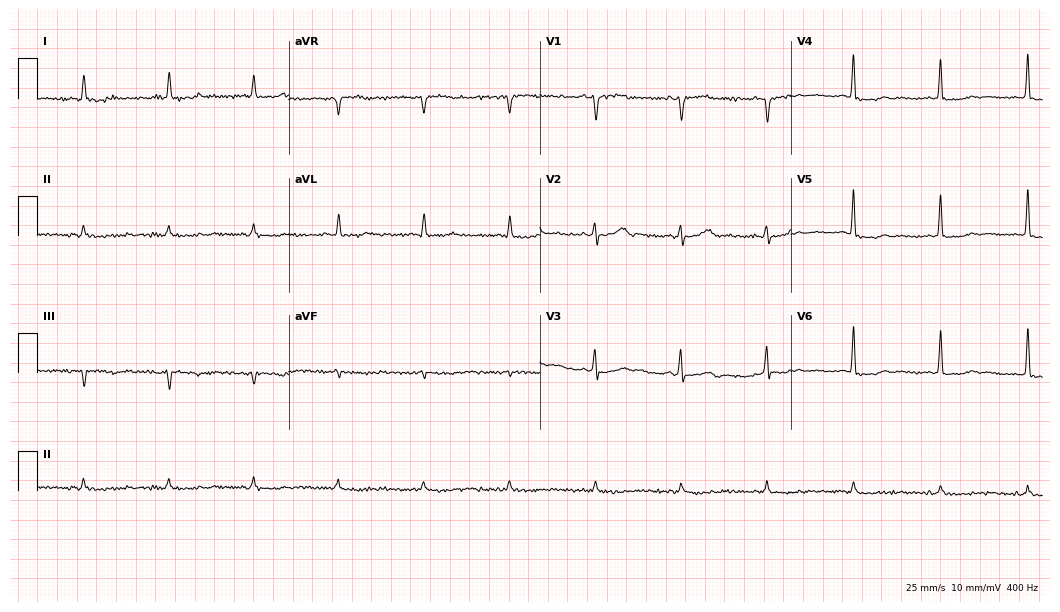
Resting 12-lead electrocardiogram (10.2-second recording at 400 Hz). Patient: a male, 83 years old. None of these six findings is recorded: first-degree AV block, right bundle branch block, left bundle branch block, sinus bradycardia, atrial fibrillation, sinus tachycardia.